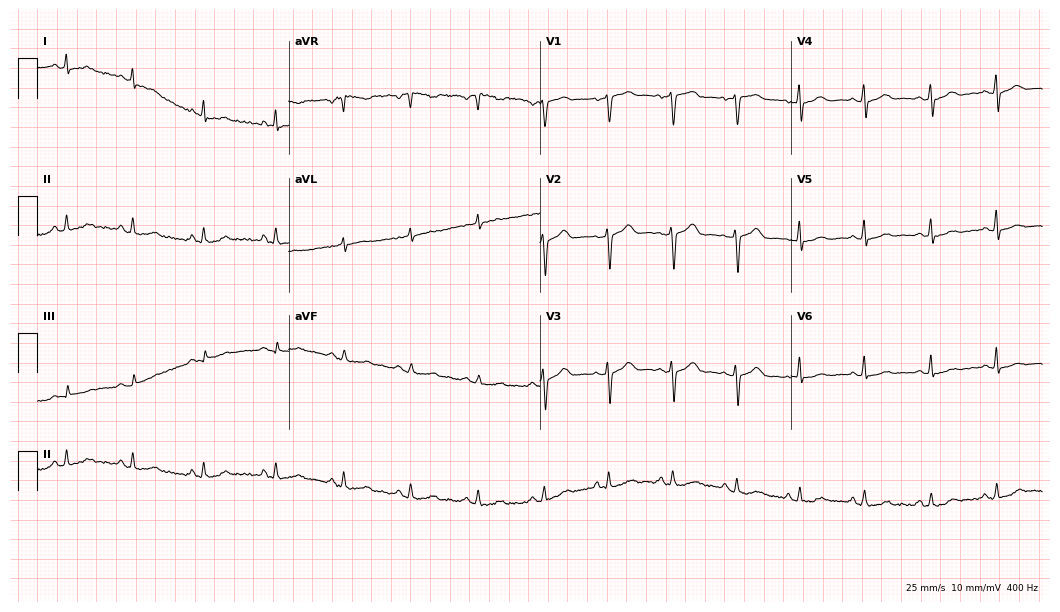
Resting 12-lead electrocardiogram. Patient: a female, 44 years old. None of these six findings is recorded: first-degree AV block, right bundle branch block (RBBB), left bundle branch block (LBBB), sinus bradycardia, atrial fibrillation (AF), sinus tachycardia. Only these six findings were labelled.